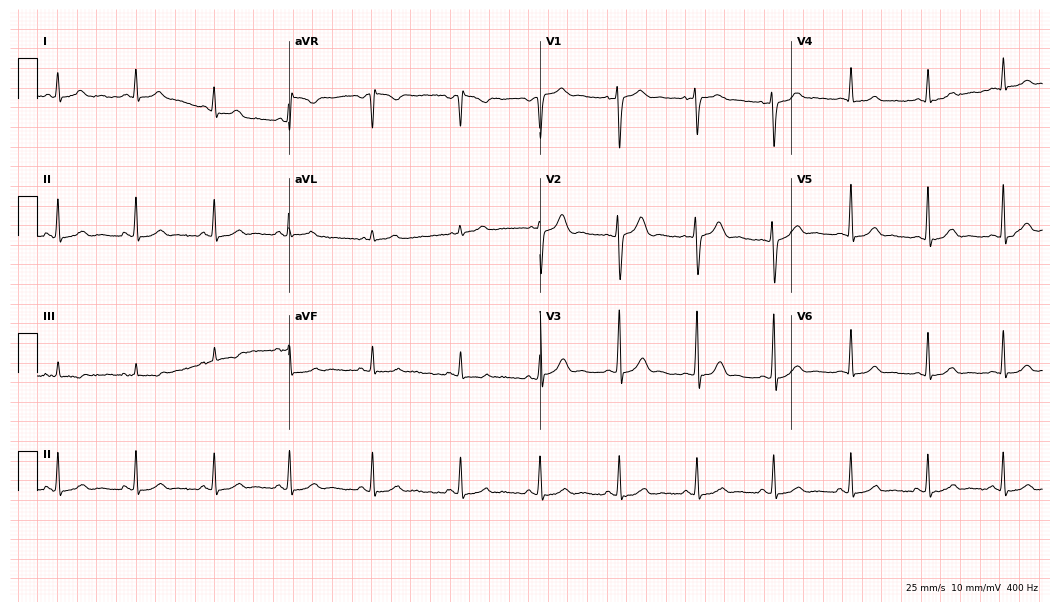
Resting 12-lead electrocardiogram (10.2-second recording at 400 Hz). Patient: a woman, 28 years old. None of these six findings is recorded: first-degree AV block, right bundle branch block, left bundle branch block, sinus bradycardia, atrial fibrillation, sinus tachycardia.